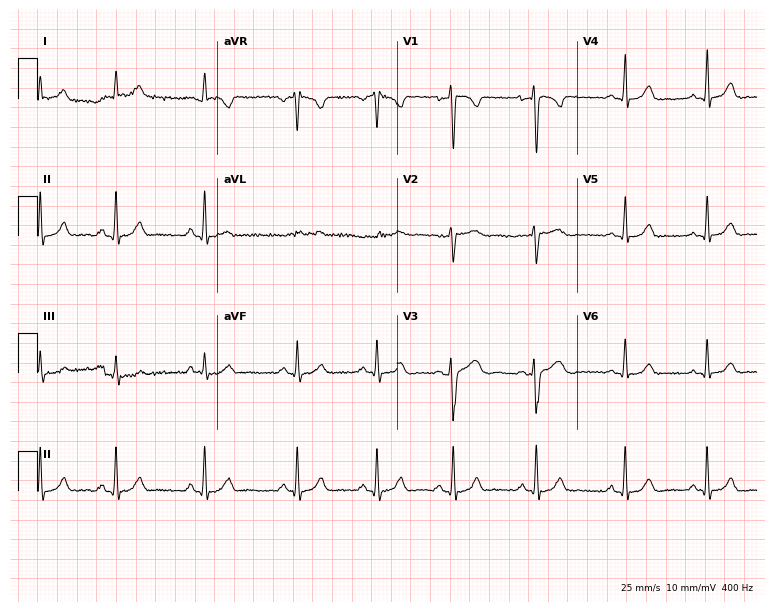
Standard 12-lead ECG recorded from a 23-year-old woman (7.3-second recording at 400 Hz). Read as a normal ECG.